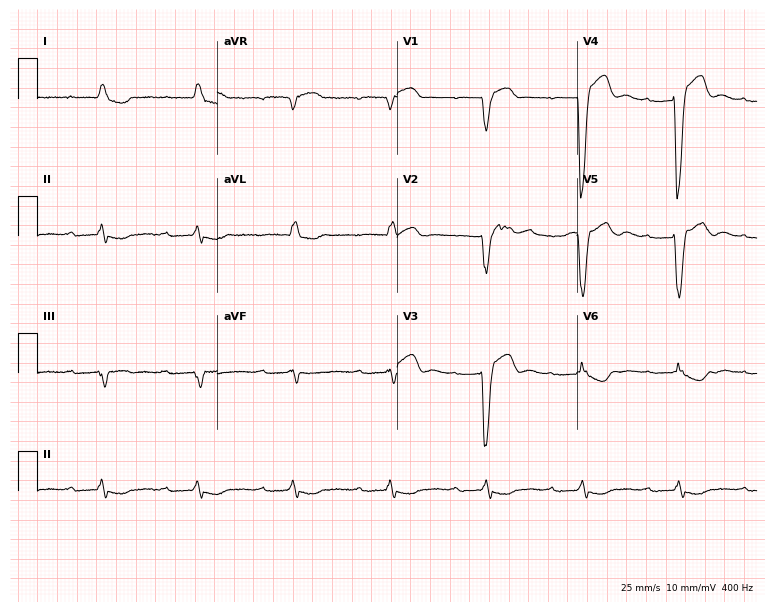
Resting 12-lead electrocardiogram (7.3-second recording at 400 Hz). Patient: a woman, 82 years old. The tracing shows first-degree AV block.